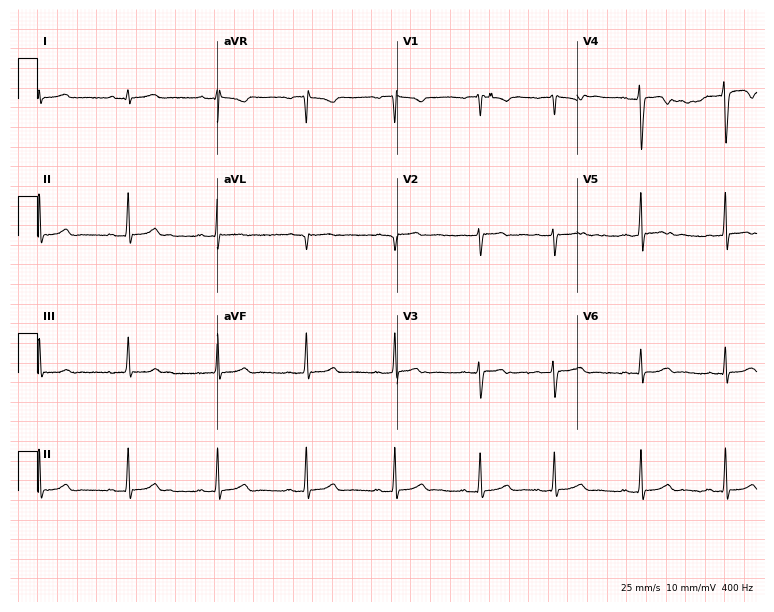
ECG — a woman, 19 years old. Labelled as a normal ECG.